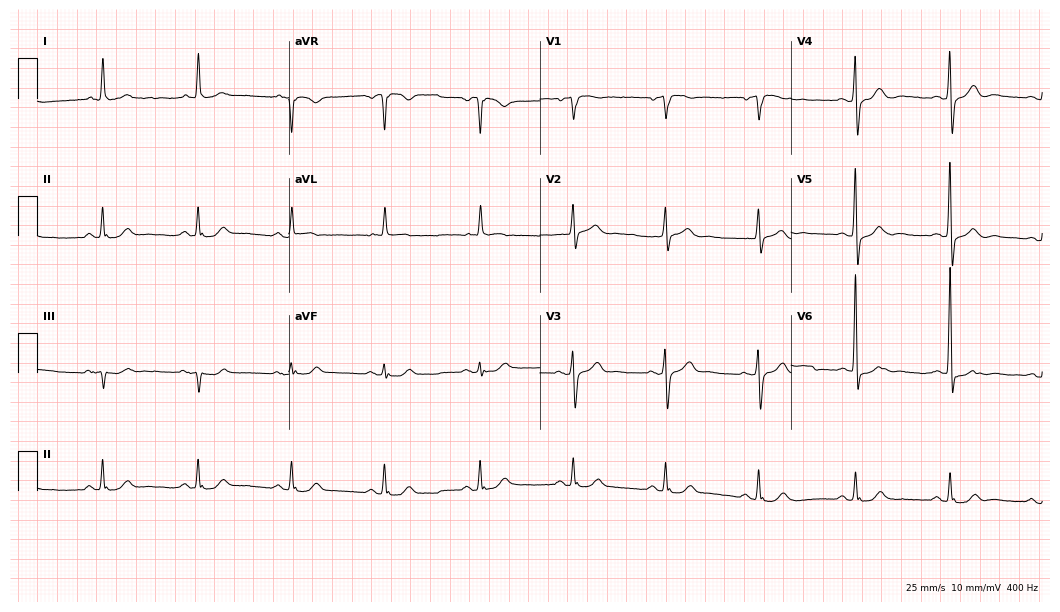
12-lead ECG from an 85-year-old male patient. Recorded interpretation: within normal limits.